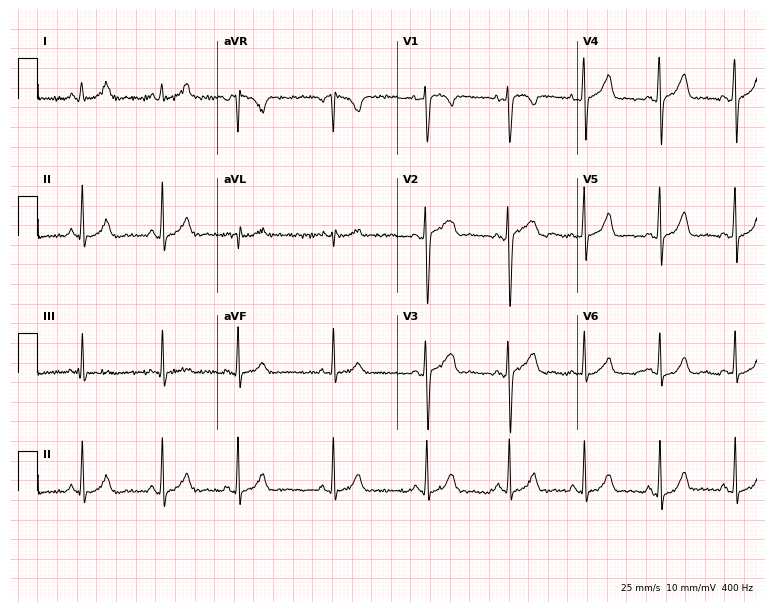
Electrocardiogram (7.3-second recording at 400 Hz), a 21-year-old woman. Of the six screened findings (first-degree AV block, right bundle branch block (RBBB), left bundle branch block (LBBB), sinus bradycardia, atrial fibrillation (AF), sinus tachycardia), none is recorded.